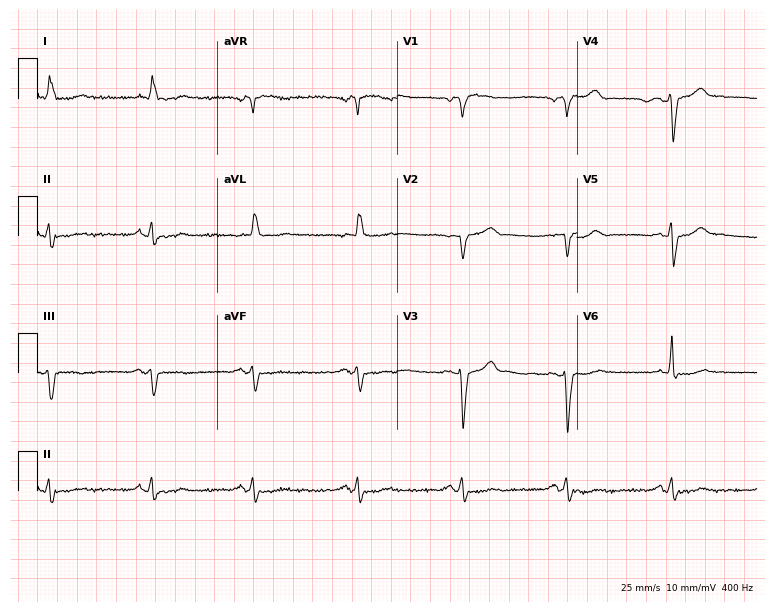
ECG — an 80-year-old male patient. Screened for six findings — first-degree AV block, right bundle branch block (RBBB), left bundle branch block (LBBB), sinus bradycardia, atrial fibrillation (AF), sinus tachycardia — none is recorded. Other findings, if any, are not listed.